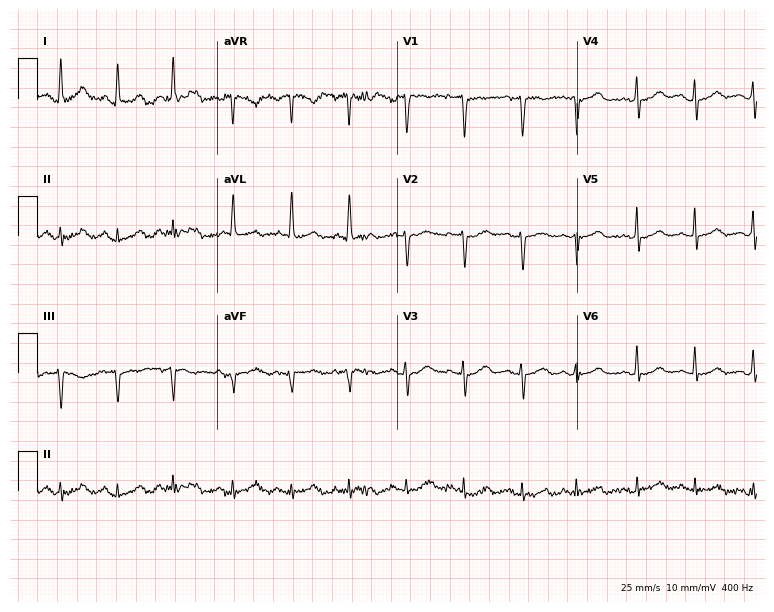
Electrocardiogram, a female, 61 years old. Of the six screened findings (first-degree AV block, right bundle branch block, left bundle branch block, sinus bradycardia, atrial fibrillation, sinus tachycardia), none is recorded. Only these six findings were labelled.